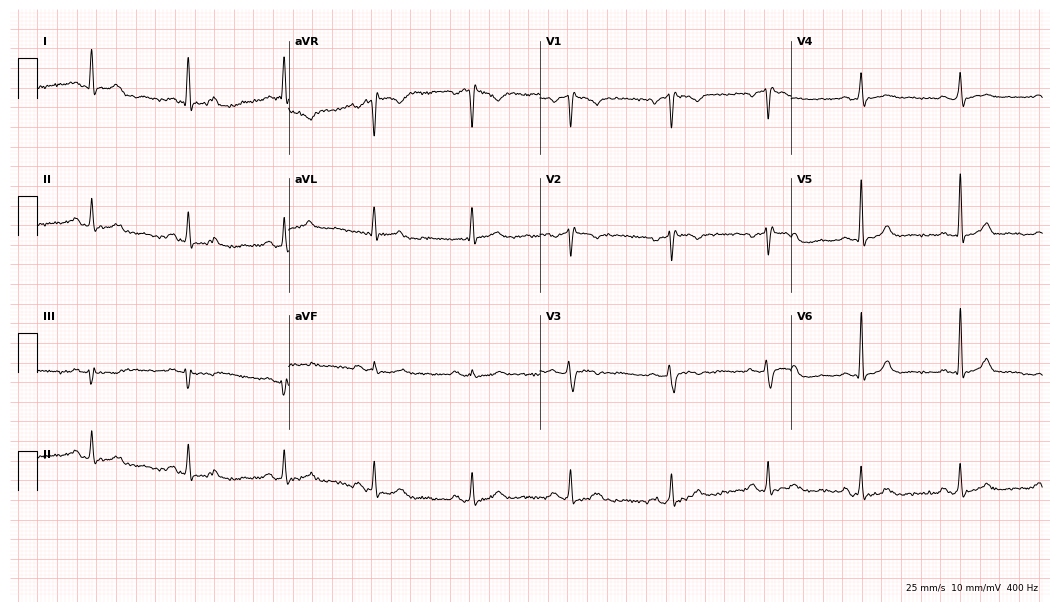
12-lead ECG from a 34-year-old female patient. Labelled as a normal ECG.